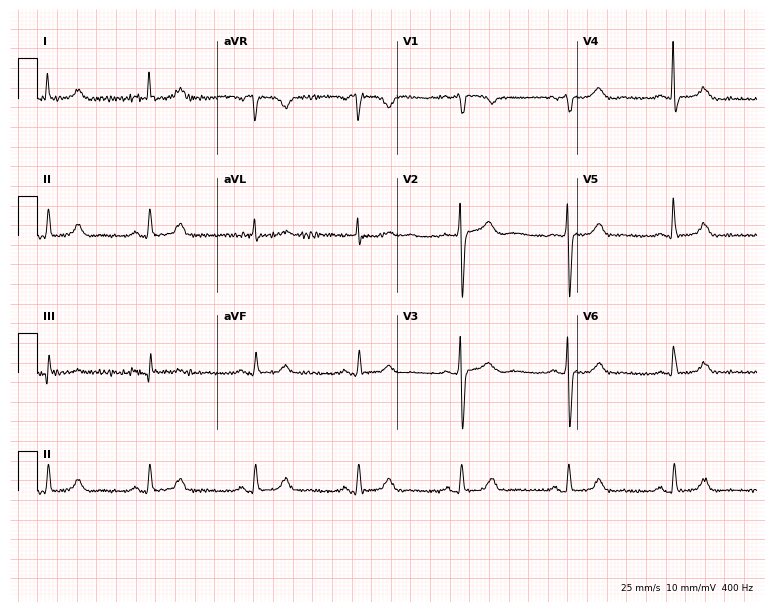
Resting 12-lead electrocardiogram. Patient: a 78-year-old female. None of these six findings is recorded: first-degree AV block, right bundle branch block, left bundle branch block, sinus bradycardia, atrial fibrillation, sinus tachycardia.